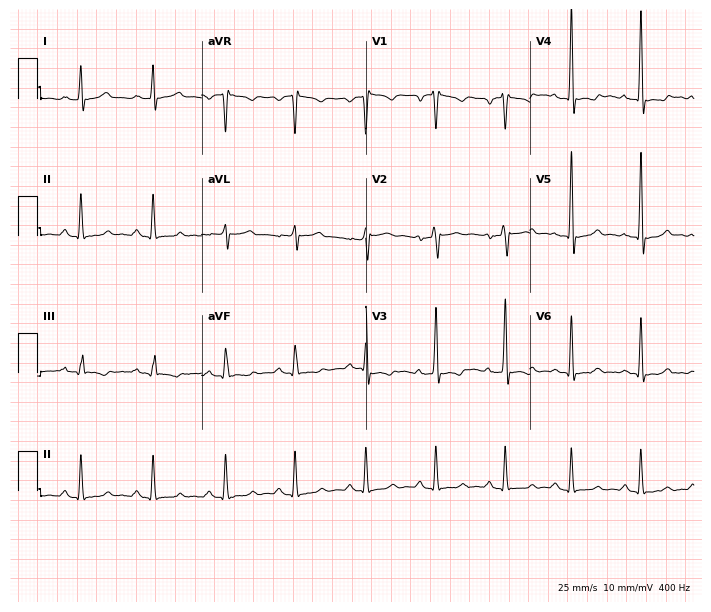
12-lead ECG (6.7-second recording at 400 Hz) from a female patient, 32 years old. Screened for six findings — first-degree AV block, right bundle branch block, left bundle branch block, sinus bradycardia, atrial fibrillation, sinus tachycardia — none is recorded.